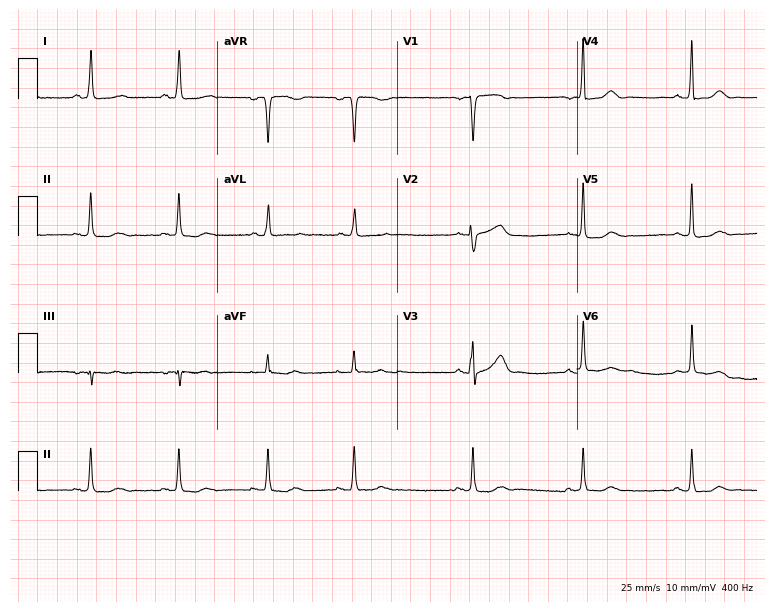
12-lead ECG from a woman, 84 years old (7.3-second recording at 400 Hz). No first-degree AV block, right bundle branch block (RBBB), left bundle branch block (LBBB), sinus bradycardia, atrial fibrillation (AF) or sinus tachycardia recorded for this tracing.